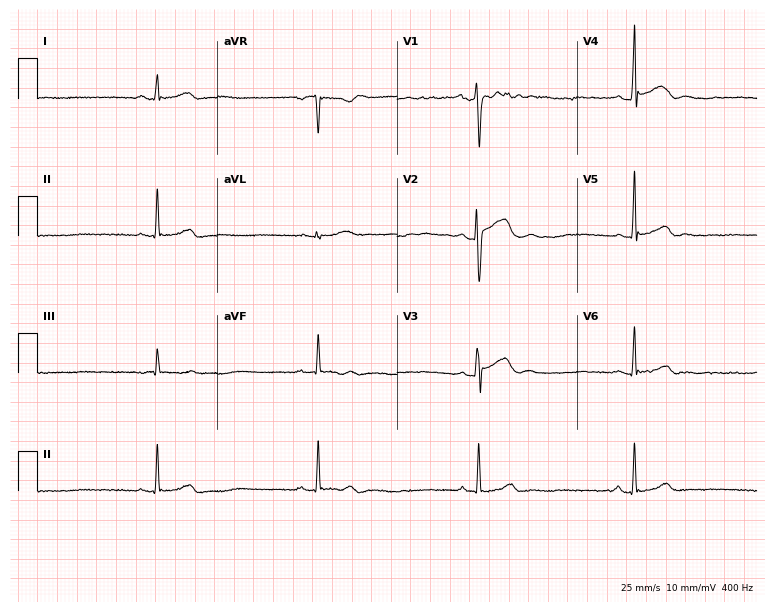
ECG — a man, 35 years old. Findings include sinus bradycardia (a sinus rate of 50 beats per minute or less).